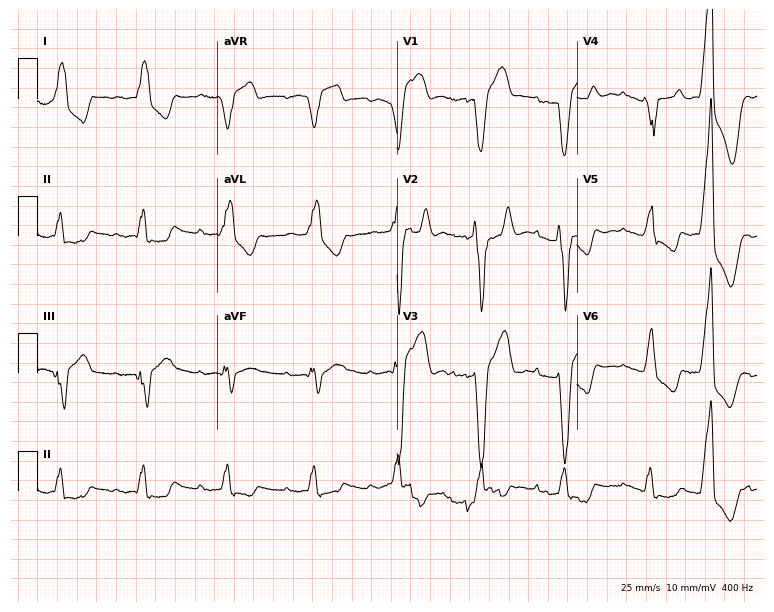
Standard 12-lead ECG recorded from a man, 80 years old (7.3-second recording at 400 Hz). The tracing shows first-degree AV block, left bundle branch block (LBBB).